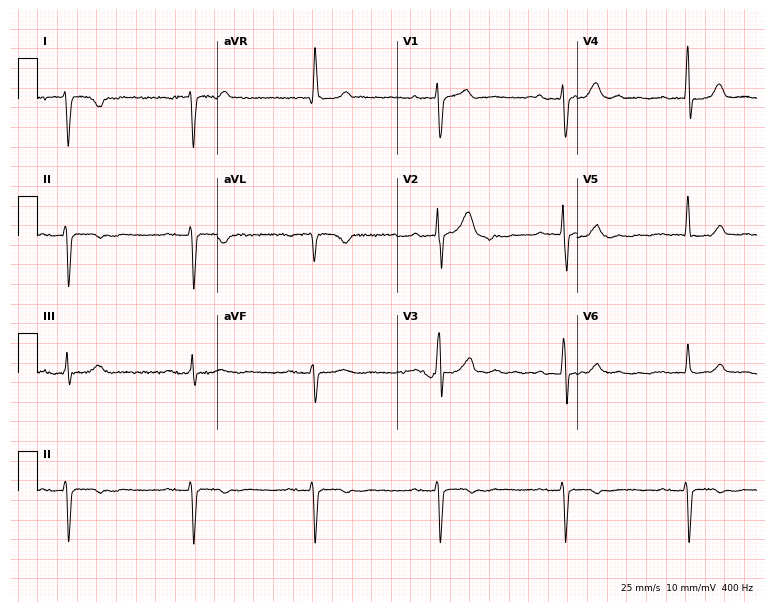
ECG — a 74-year-old man. Screened for six findings — first-degree AV block, right bundle branch block, left bundle branch block, sinus bradycardia, atrial fibrillation, sinus tachycardia — none is recorded. Other findings, if any, are not listed.